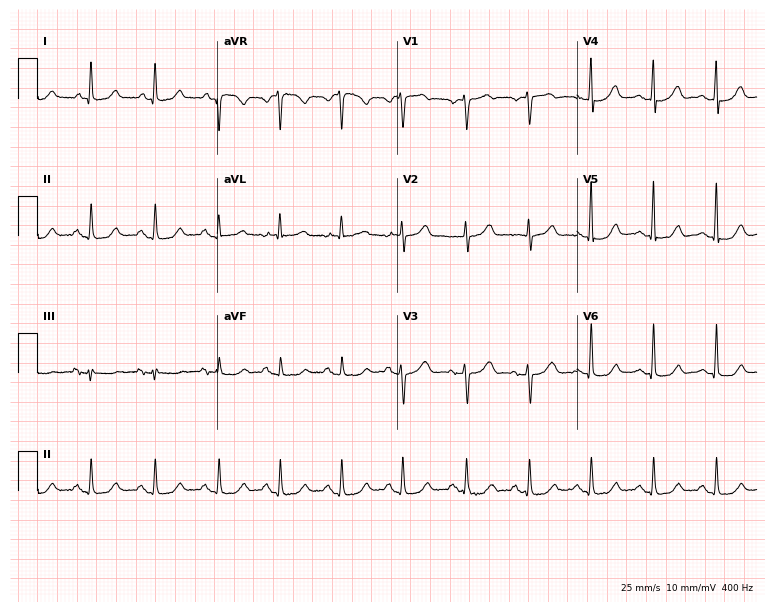
12-lead ECG (7.3-second recording at 400 Hz) from a 49-year-old female. Screened for six findings — first-degree AV block, right bundle branch block (RBBB), left bundle branch block (LBBB), sinus bradycardia, atrial fibrillation (AF), sinus tachycardia — none is recorded.